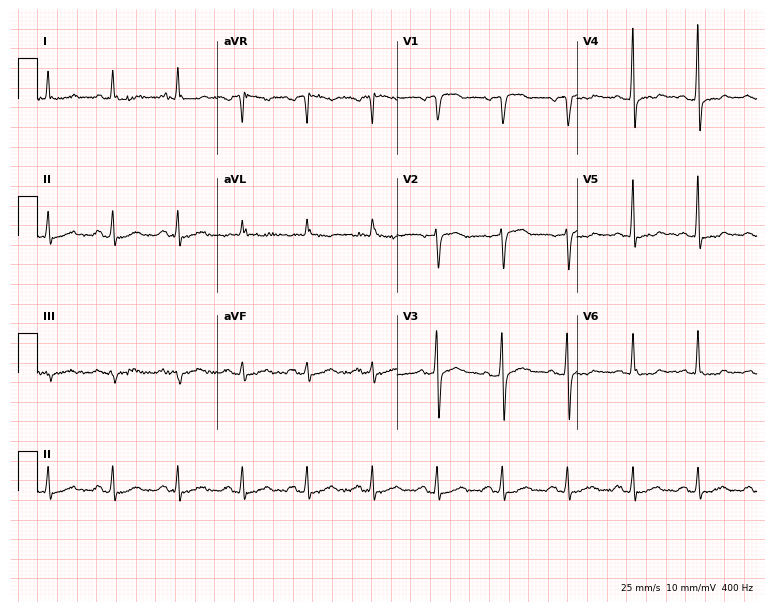
12-lead ECG from a 51-year-old man. Screened for six findings — first-degree AV block, right bundle branch block, left bundle branch block, sinus bradycardia, atrial fibrillation, sinus tachycardia — none is recorded. Only these six findings were labelled.